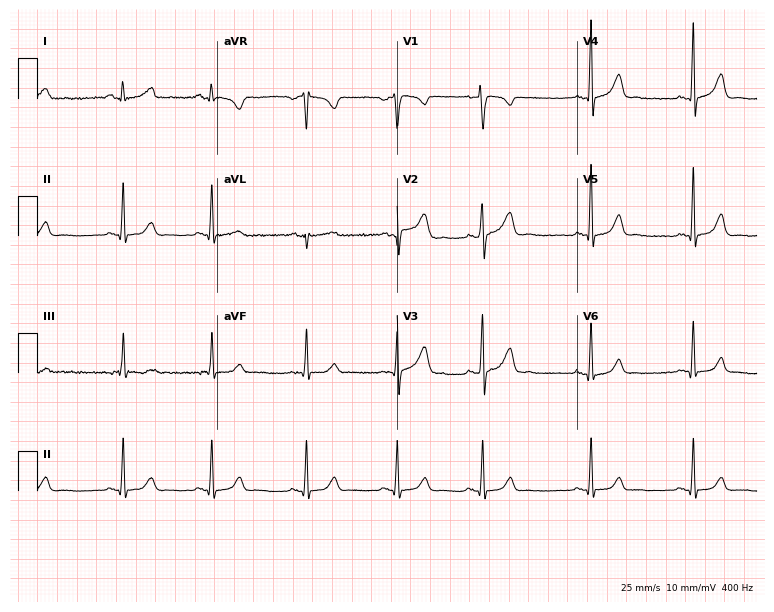
Standard 12-lead ECG recorded from a female, 20 years old (7.3-second recording at 400 Hz). None of these six findings is recorded: first-degree AV block, right bundle branch block, left bundle branch block, sinus bradycardia, atrial fibrillation, sinus tachycardia.